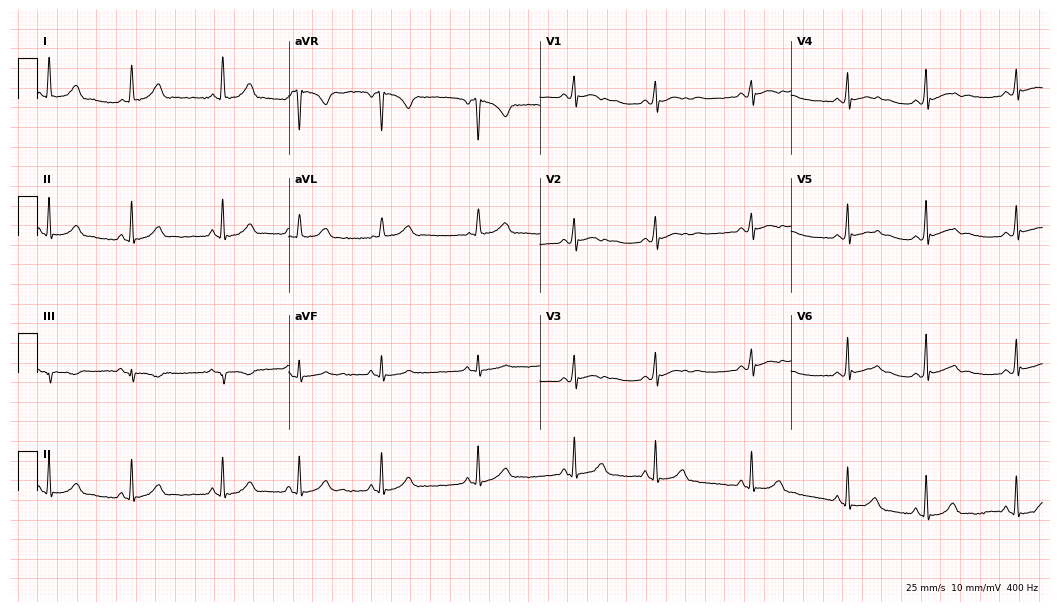
ECG (10.2-second recording at 400 Hz) — a female, 19 years old. Screened for six findings — first-degree AV block, right bundle branch block, left bundle branch block, sinus bradycardia, atrial fibrillation, sinus tachycardia — none is recorded. Other findings, if any, are not listed.